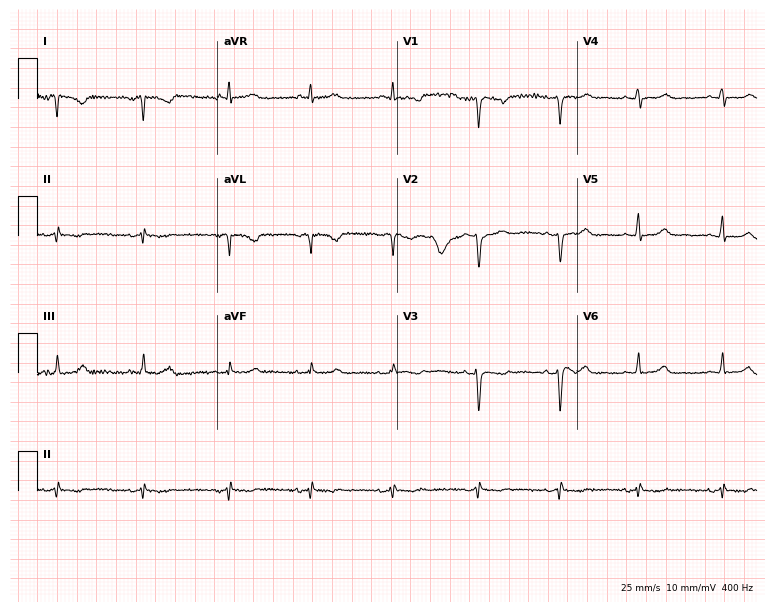
Electrocardiogram (7.3-second recording at 400 Hz), a woman, 40 years old. Of the six screened findings (first-degree AV block, right bundle branch block (RBBB), left bundle branch block (LBBB), sinus bradycardia, atrial fibrillation (AF), sinus tachycardia), none is recorded. Only these six findings were labelled.